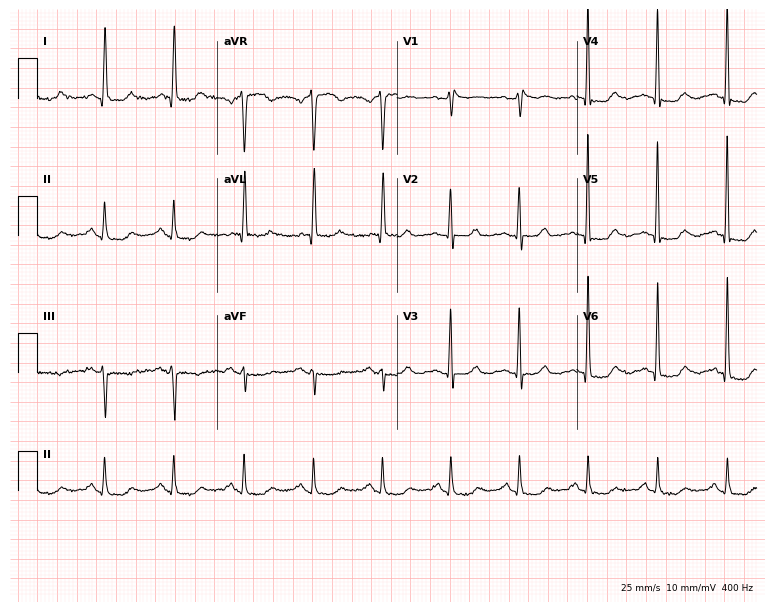
Standard 12-lead ECG recorded from a 77-year-old female. None of these six findings is recorded: first-degree AV block, right bundle branch block, left bundle branch block, sinus bradycardia, atrial fibrillation, sinus tachycardia.